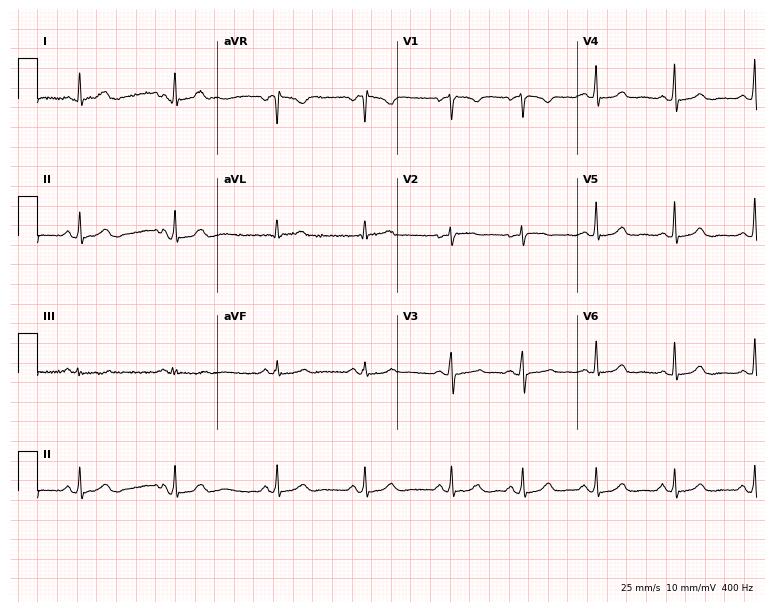
ECG (7.3-second recording at 400 Hz) — a female patient, 25 years old. Labelled as a normal ECG.